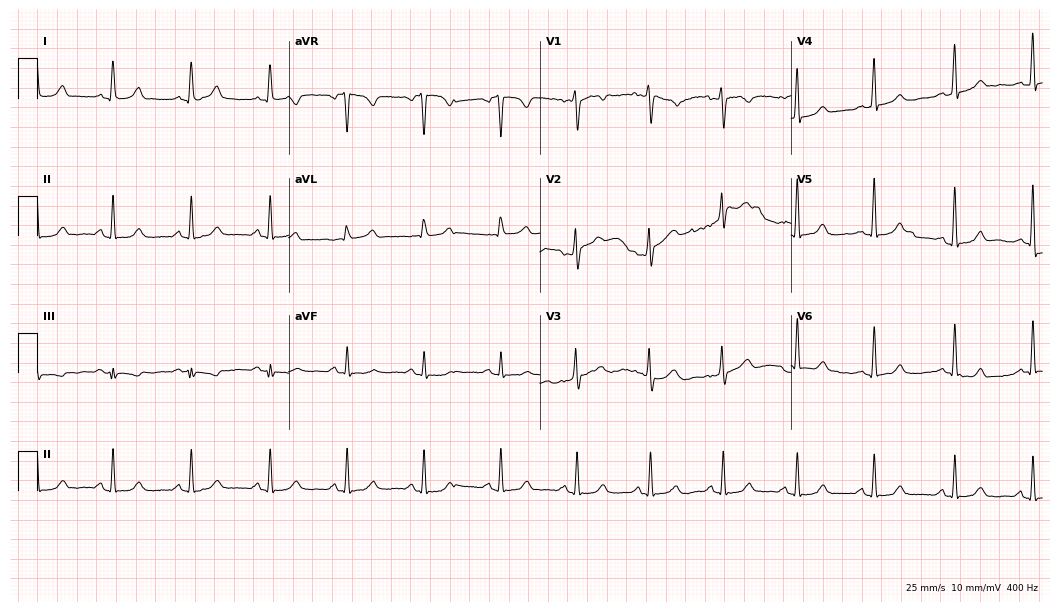
Resting 12-lead electrocardiogram (10.2-second recording at 400 Hz). Patient: a female, 47 years old. Read as a normal ECG.